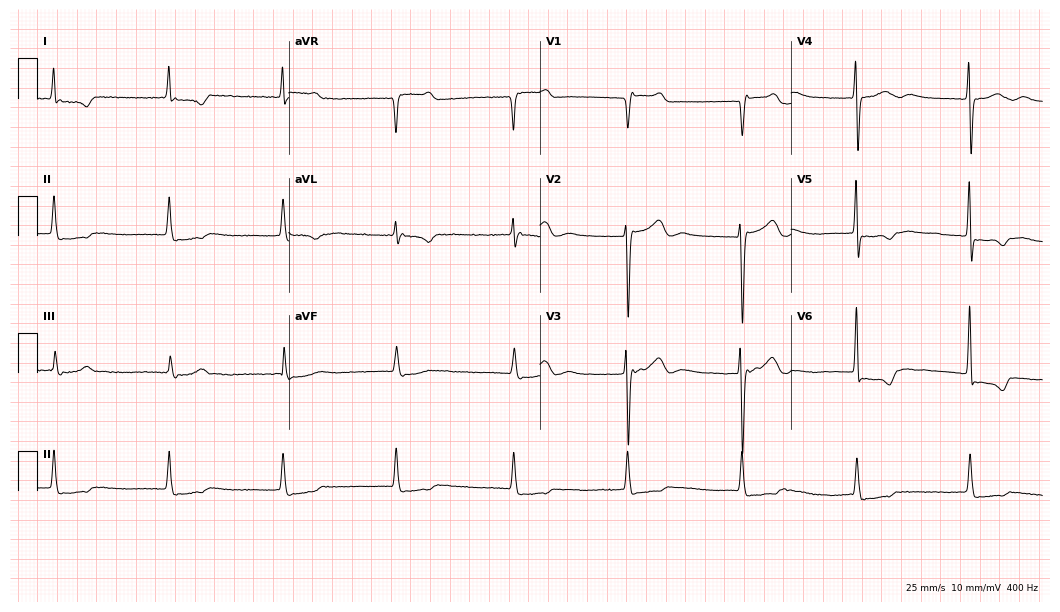
Electrocardiogram (10.2-second recording at 400 Hz), a female patient, 79 years old. Of the six screened findings (first-degree AV block, right bundle branch block, left bundle branch block, sinus bradycardia, atrial fibrillation, sinus tachycardia), none is recorded.